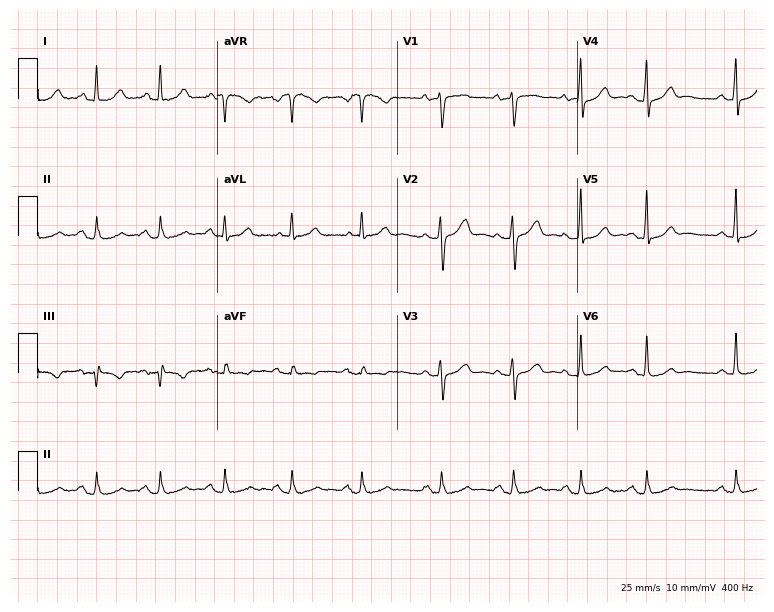
ECG — a 68-year-old female patient. Screened for six findings — first-degree AV block, right bundle branch block, left bundle branch block, sinus bradycardia, atrial fibrillation, sinus tachycardia — none is recorded.